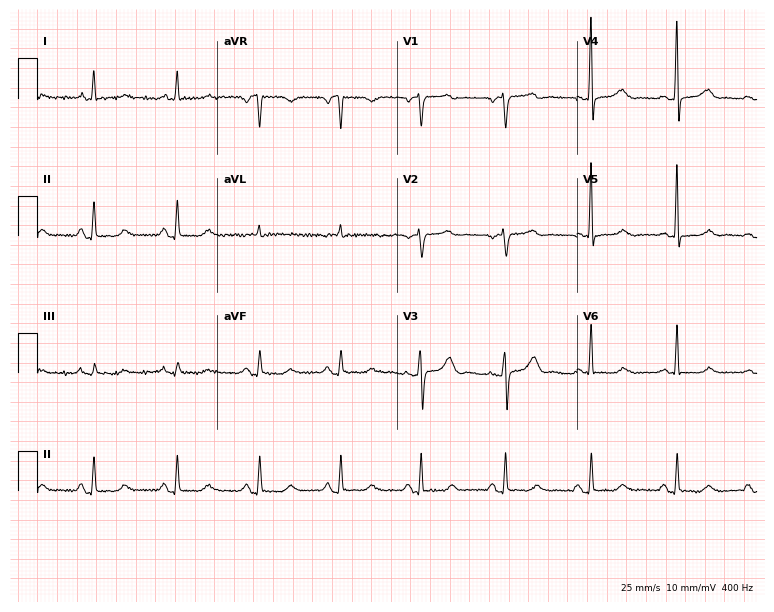
Electrocardiogram (7.3-second recording at 400 Hz), a 61-year-old woman. Of the six screened findings (first-degree AV block, right bundle branch block (RBBB), left bundle branch block (LBBB), sinus bradycardia, atrial fibrillation (AF), sinus tachycardia), none is recorded.